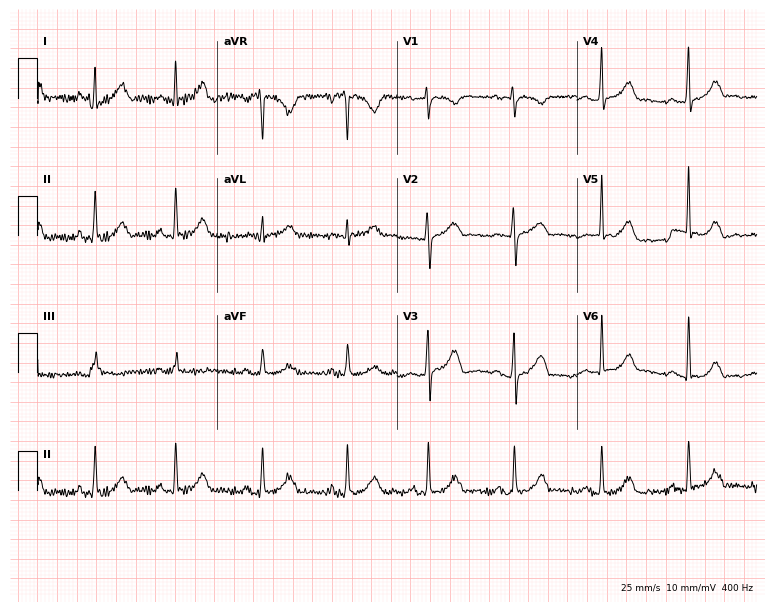
12-lead ECG from a woman, 37 years old. Labelled as a normal ECG.